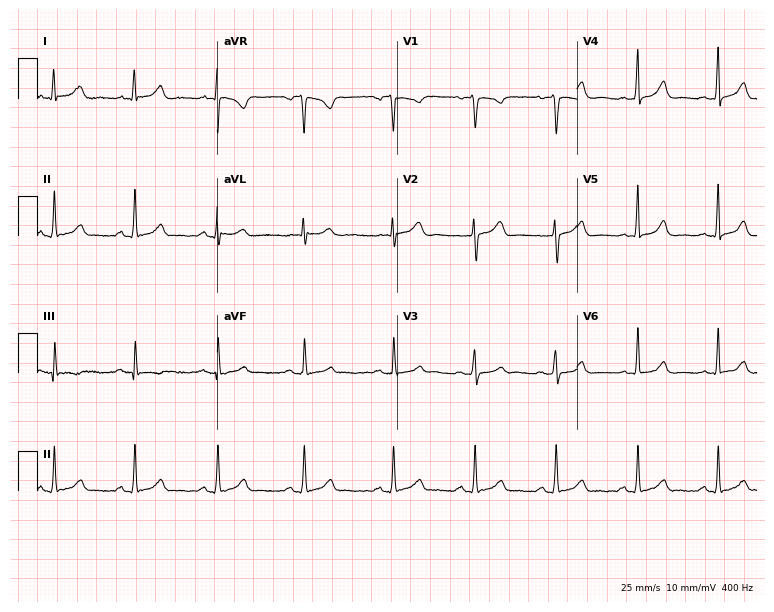
Resting 12-lead electrocardiogram (7.3-second recording at 400 Hz). Patient: a 22-year-old female. Read as a normal ECG.